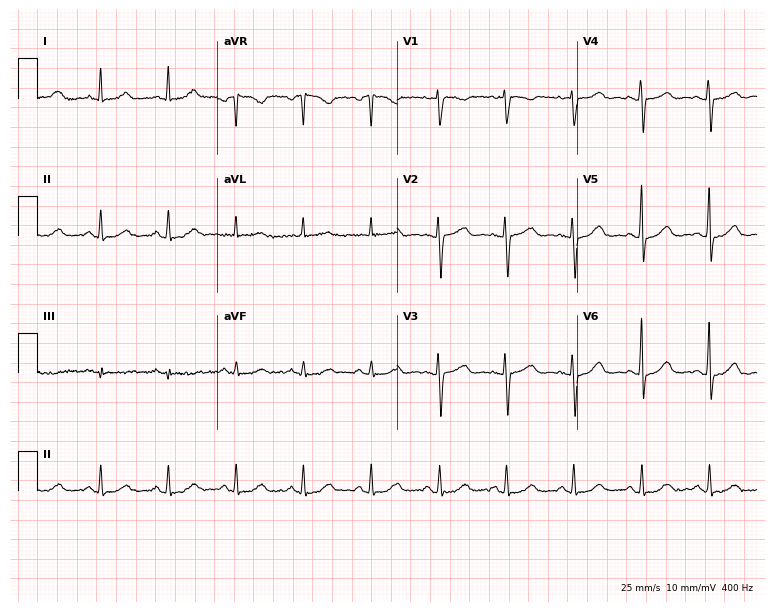
12-lead ECG (7.3-second recording at 400 Hz) from a woman, 76 years old. Labelled as a normal ECG.